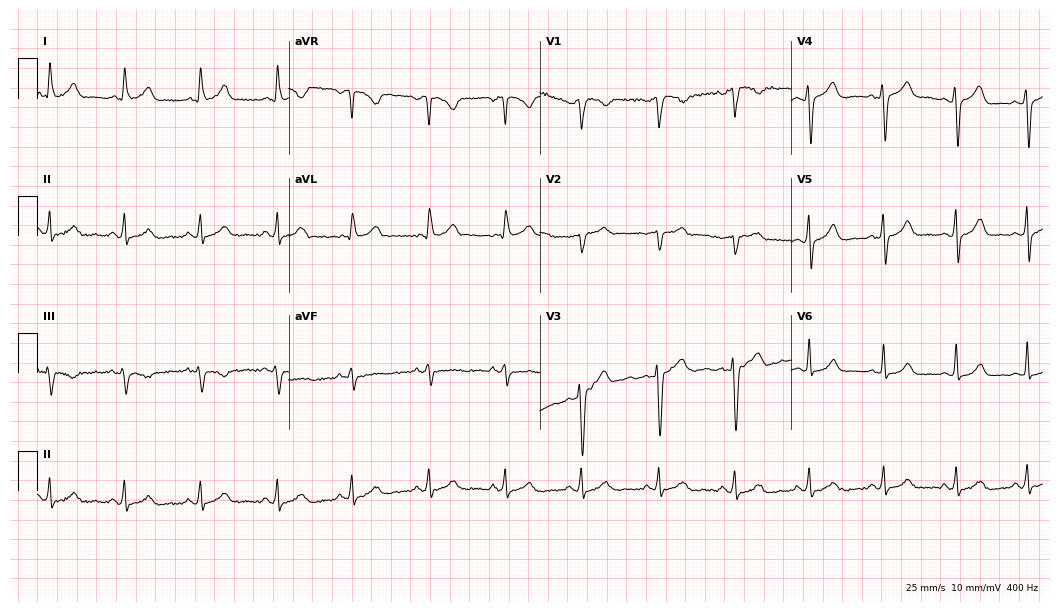
Resting 12-lead electrocardiogram. Patient: a male, 38 years old. Read as a normal ECG.